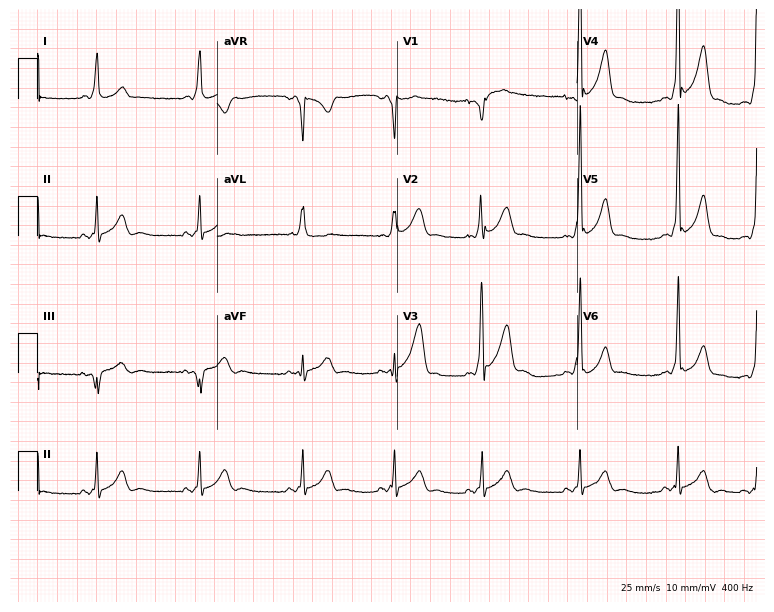
ECG — a 17-year-old male patient. Screened for six findings — first-degree AV block, right bundle branch block, left bundle branch block, sinus bradycardia, atrial fibrillation, sinus tachycardia — none is recorded. Other findings, if any, are not listed.